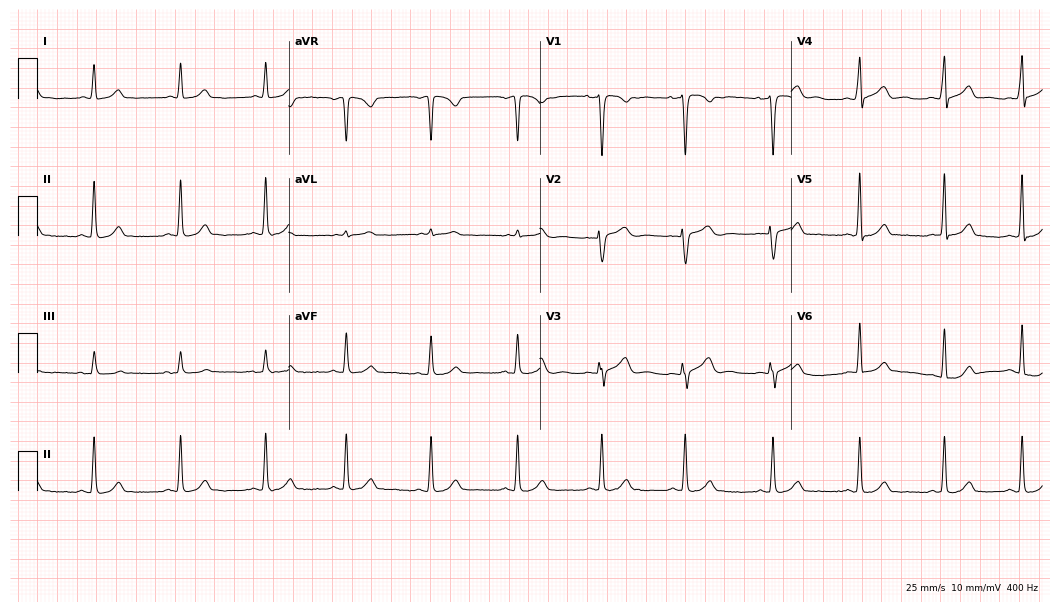
Electrocardiogram, a 31-year-old woman. Of the six screened findings (first-degree AV block, right bundle branch block (RBBB), left bundle branch block (LBBB), sinus bradycardia, atrial fibrillation (AF), sinus tachycardia), none is recorded.